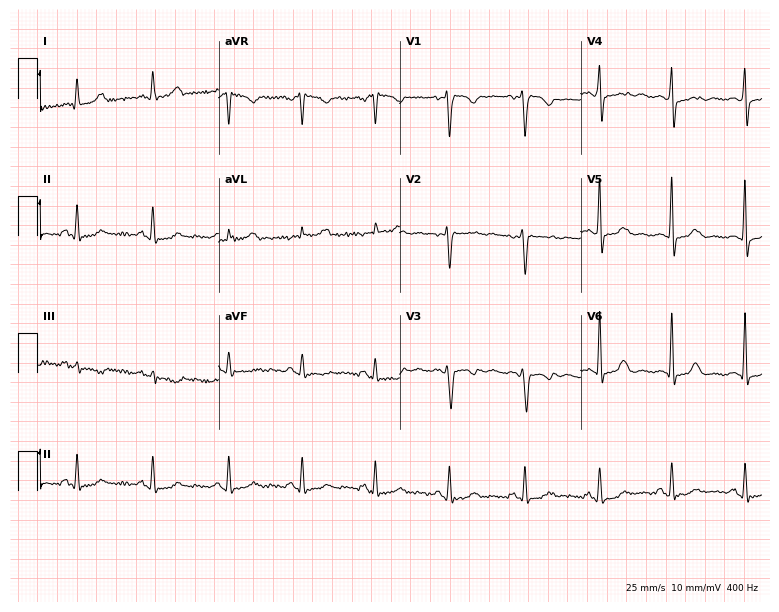
12-lead ECG (7.4-second recording at 400 Hz) from a 36-year-old woman. Screened for six findings — first-degree AV block, right bundle branch block, left bundle branch block, sinus bradycardia, atrial fibrillation, sinus tachycardia — none is recorded. Only these six findings were labelled.